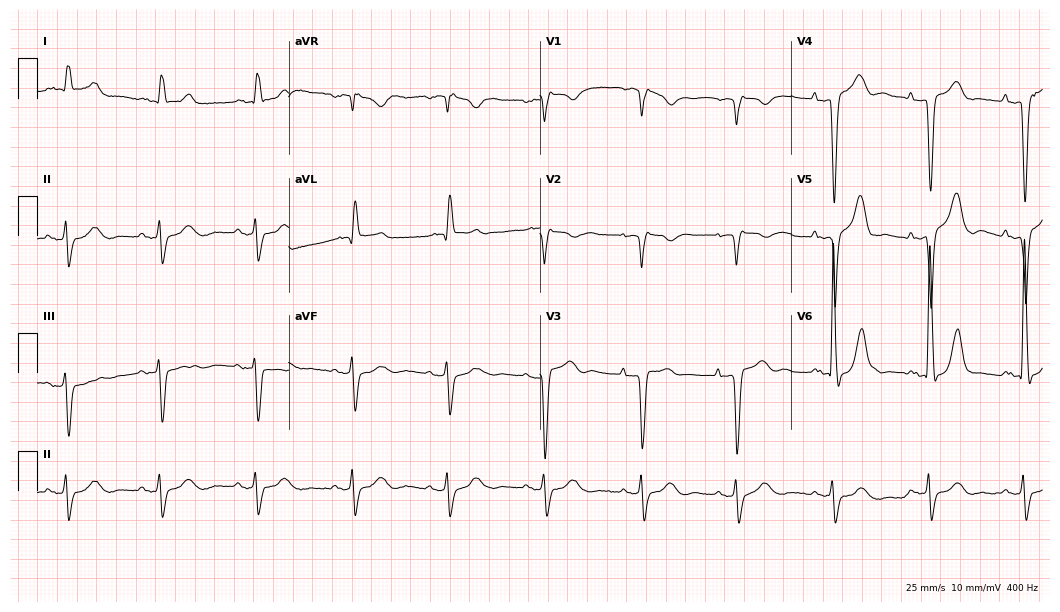
12-lead ECG from a male patient, 85 years old. No first-degree AV block, right bundle branch block (RBBB), left bundle branch block (LBBB), sinus bradycardia, atrial fibrillation (AF) or sinus tachycardia recorded for this tracing.